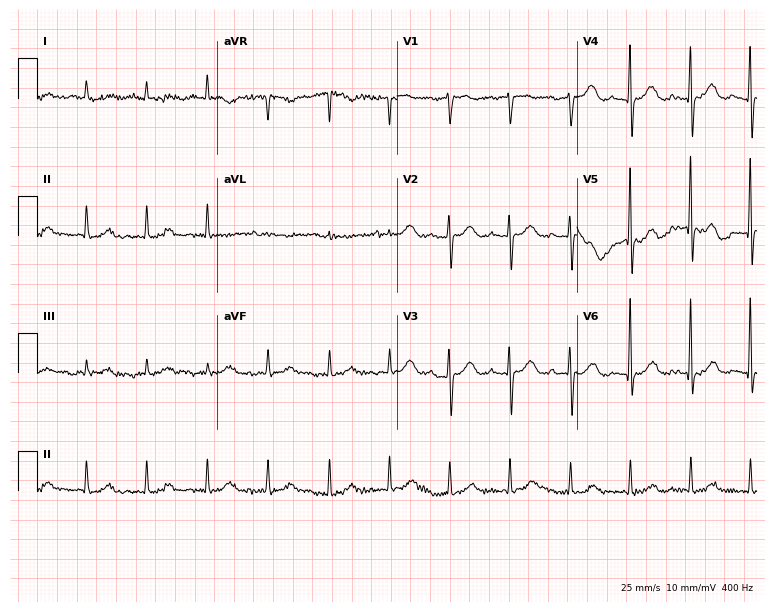
Standard 12-lead ECG recorded from a woman, 81 years old. Read as a normal ECG.